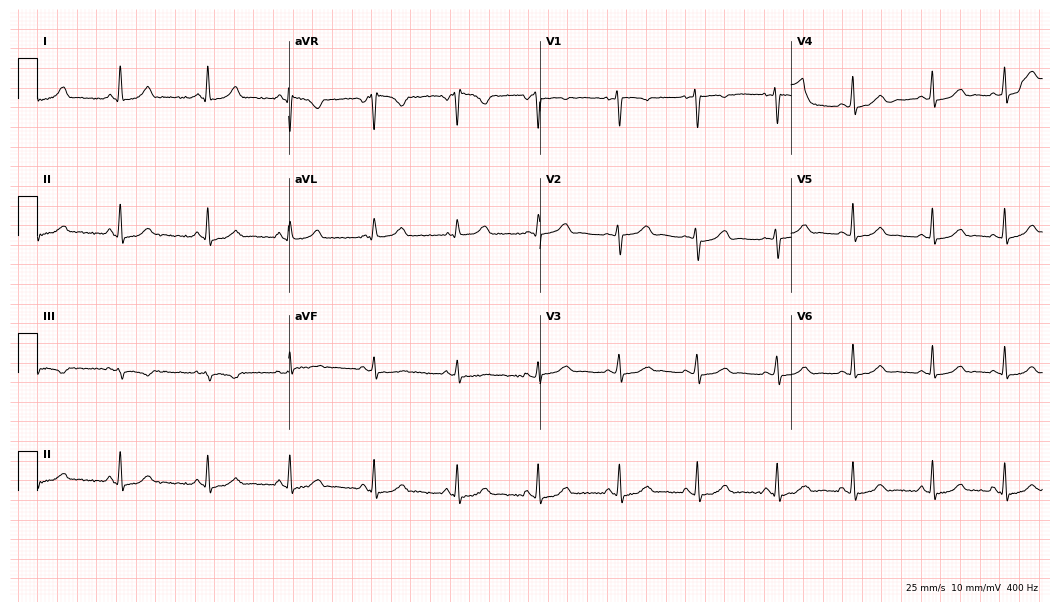
ECG (10.2-second recording at 400 Hz) — a 35-year-old female. Labelled as a normal ECG.